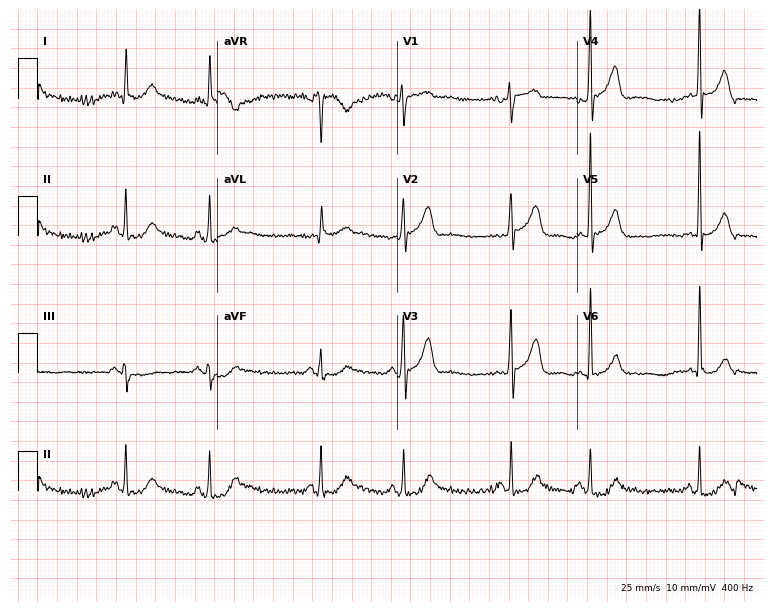
Standard 12-lead ECG recorded from a 66-year-old female patient (7.3-second recording at 400 Hz). Read as a normal ECG.